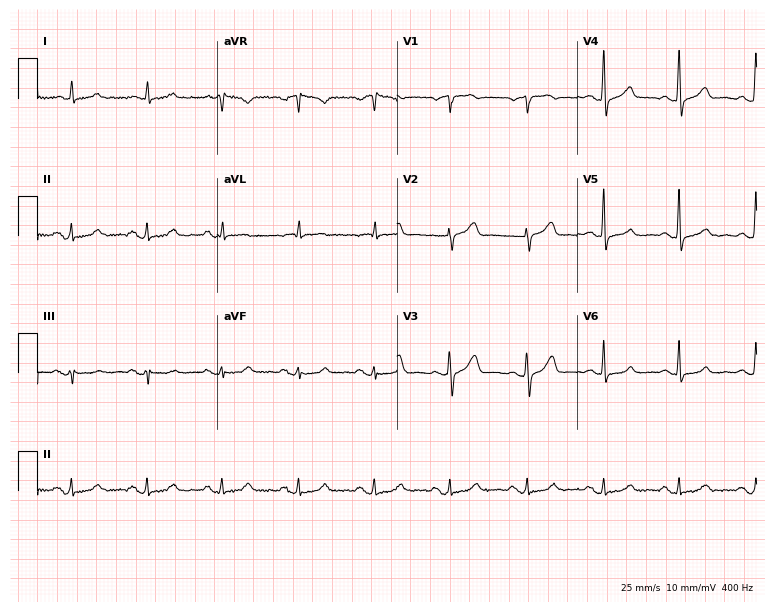
12-lead ECG from a 71-year-old female. Labelled as a normal ECG.